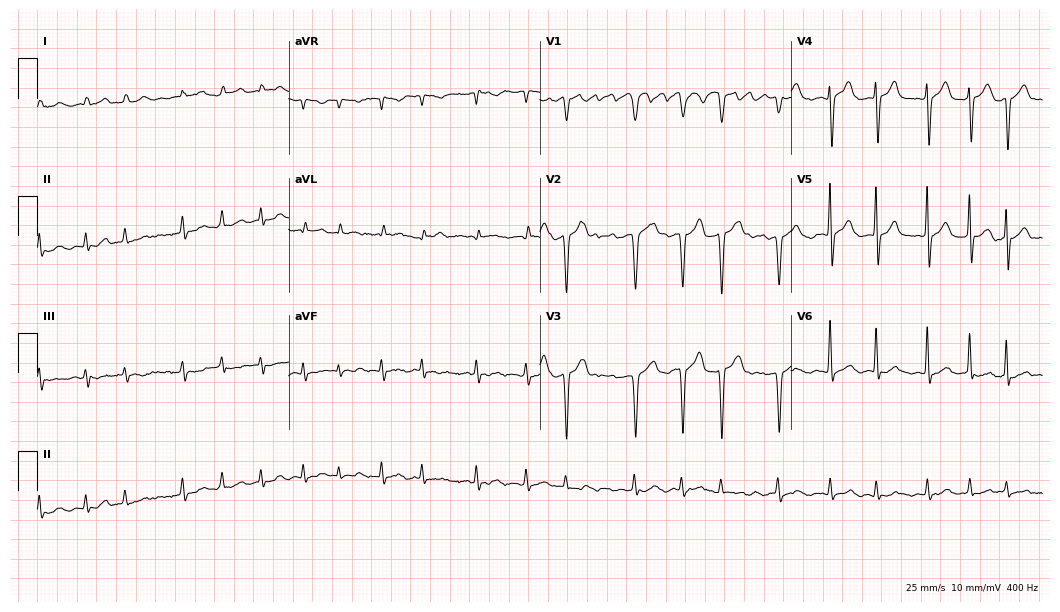
ECG — a female, 80 years old. Findings include atrial fibrillation.